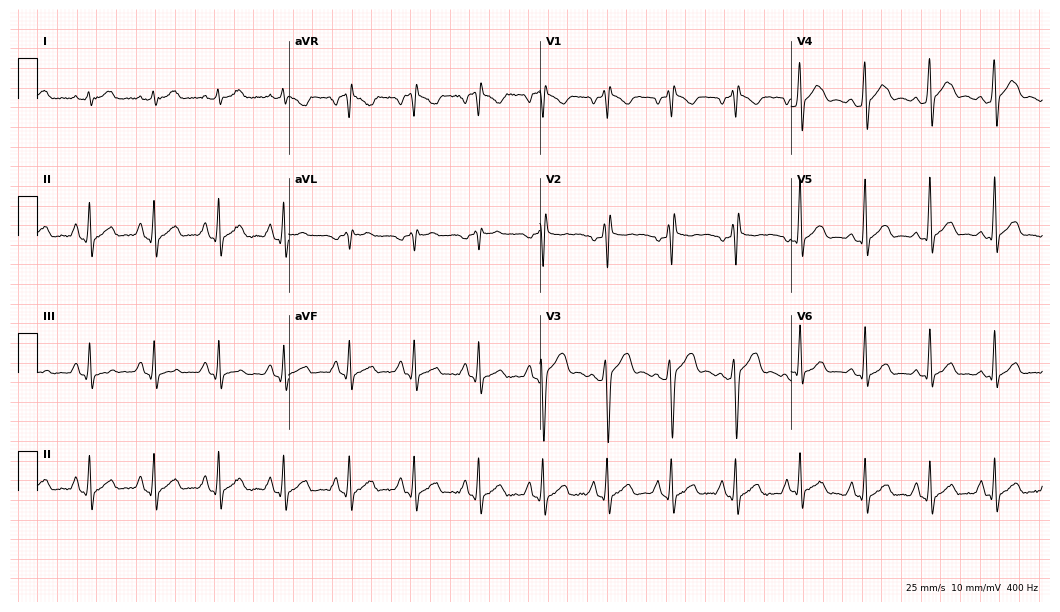
Electrocardiogram, a 27-year-old male patient. Of the six screened findings (first-degree AV block, right bundle branch block (RBBB), left bundle branch block (LBBB), sinus bradycardia, atrial fibrillation (AF), sinus tachycardia), none is recorded. Other findings, if any, are not listed.